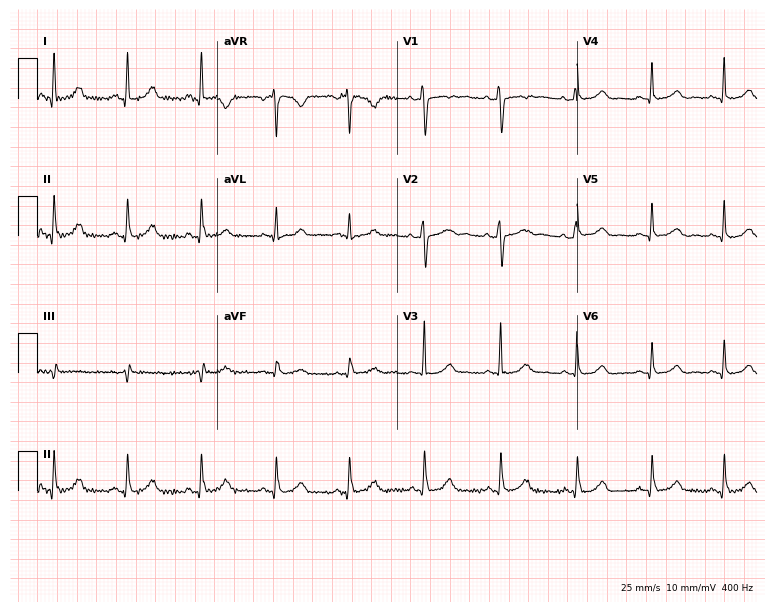
Electrocardiogram (7.3-second recording at 400 Hz), a 31-year-old female patient. Overall reading on record: normal ECG.